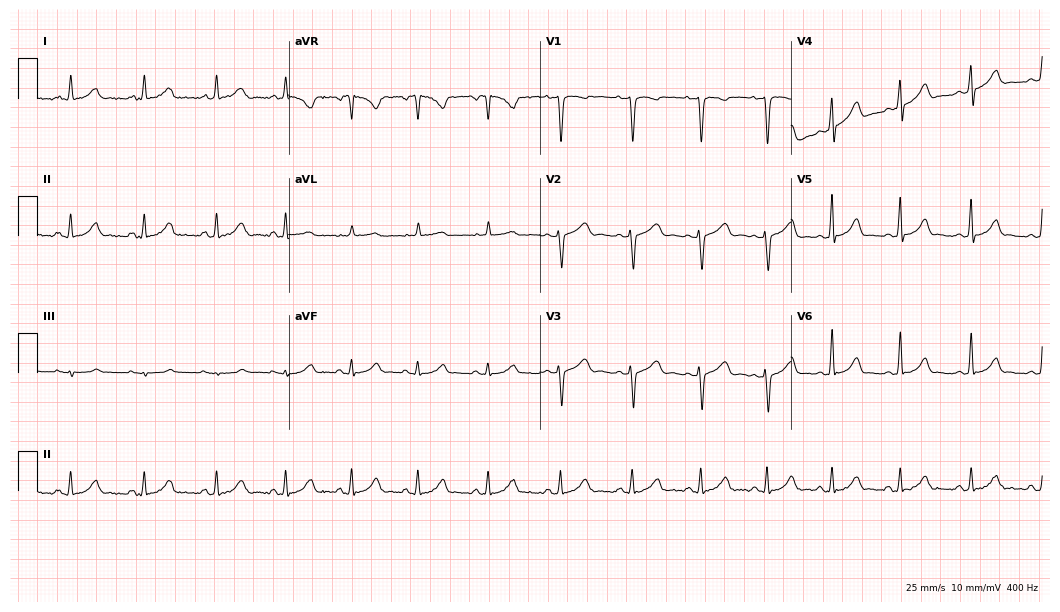
Electrocardiogram (10.2-second recording at 400 Hz), a 34-year-old woman. Of the six screened findings (first-degree AV block, right bundle branch block, left bundle branch block, sinus bradycardia, atrial fibrillation, sinus tachycardia), none is recorded. Other findings, if any, are not listed.